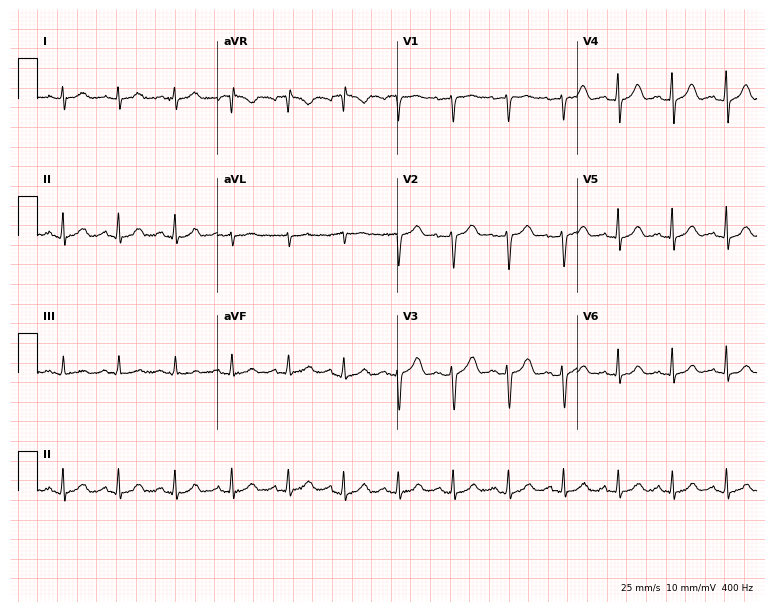
ECG — a female patient, 49 years old. Findings include sinus tachycardia (a sinus rate of 100 beats per minute or more).